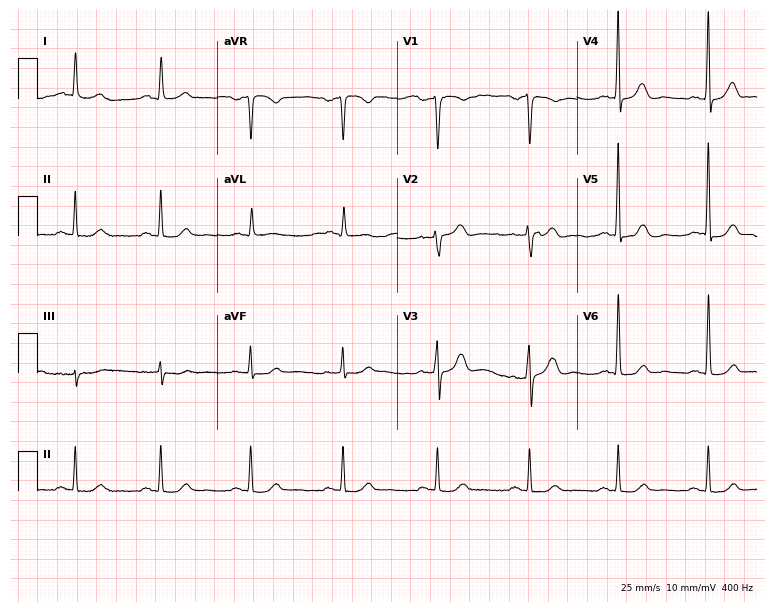
Standard 12-lead ECG recorded from a 67-year-old man. None of these six findings is recorded: first-degree AV block, right bundle branch block, left bundle branch block, sinus bradycardia, atrial fibrillation, sinus tachycardia.